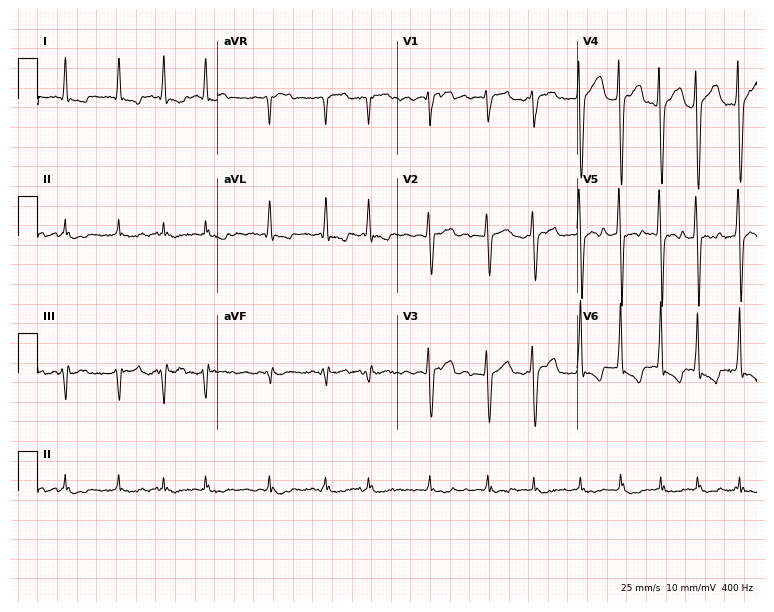
Standard 12-lead ECG recorded from a man, 73 years old. The tracing shows atrial fibrillation.